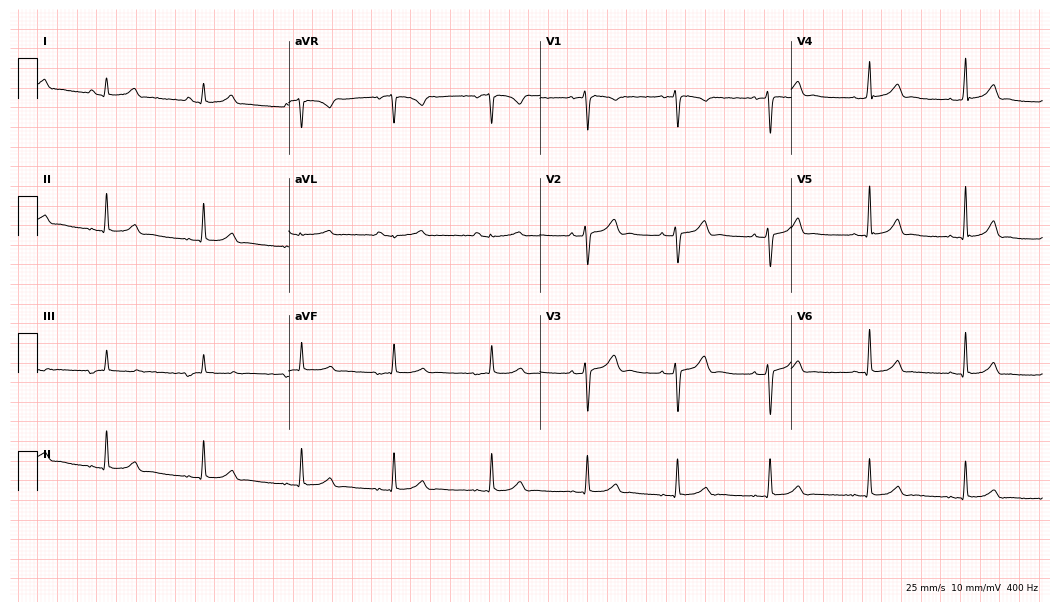
12-lead ECG (10.2-second recording at 400 Hz) from a female, 18 years old. Screened for six findings — first-degree AV block, right bundle branch block, left bundle branch block, sinus bradycardia, atrial fibrillation, sinus tachycardia — none is recorded.